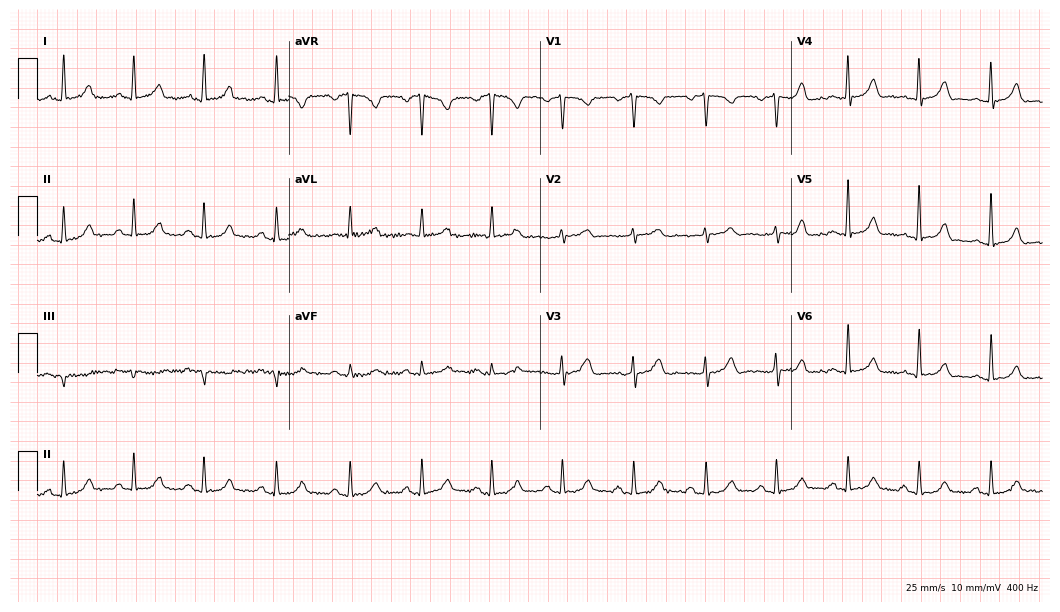
Standard 12-lead ECG recorded from a woman, 62 years old. Read as a normal ECG.